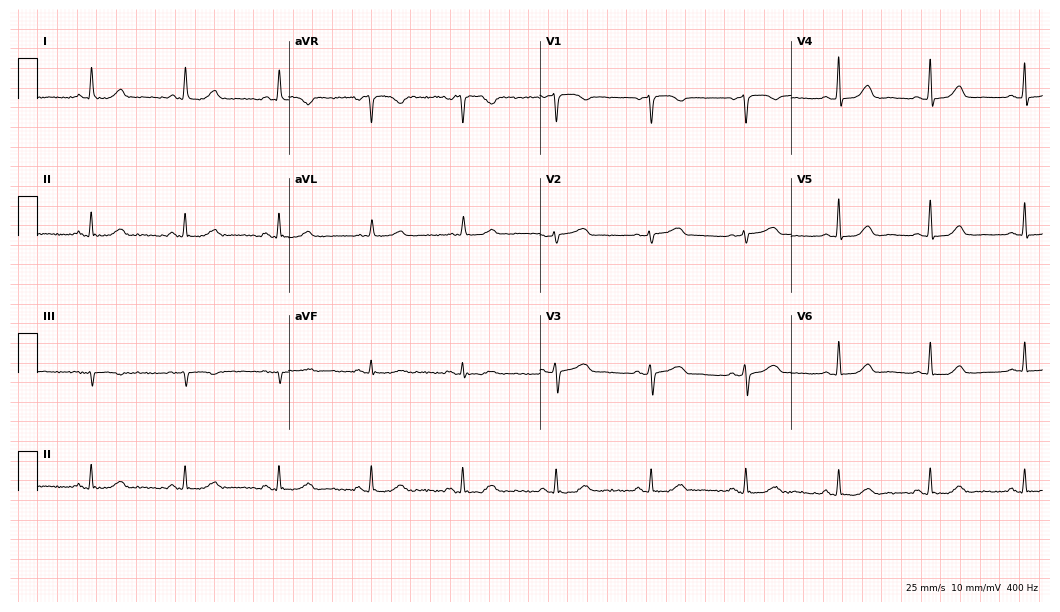
ECG (10.2-second recording at 400 Hz) — a 59-year-old woman. Labelled as a normal ECG.